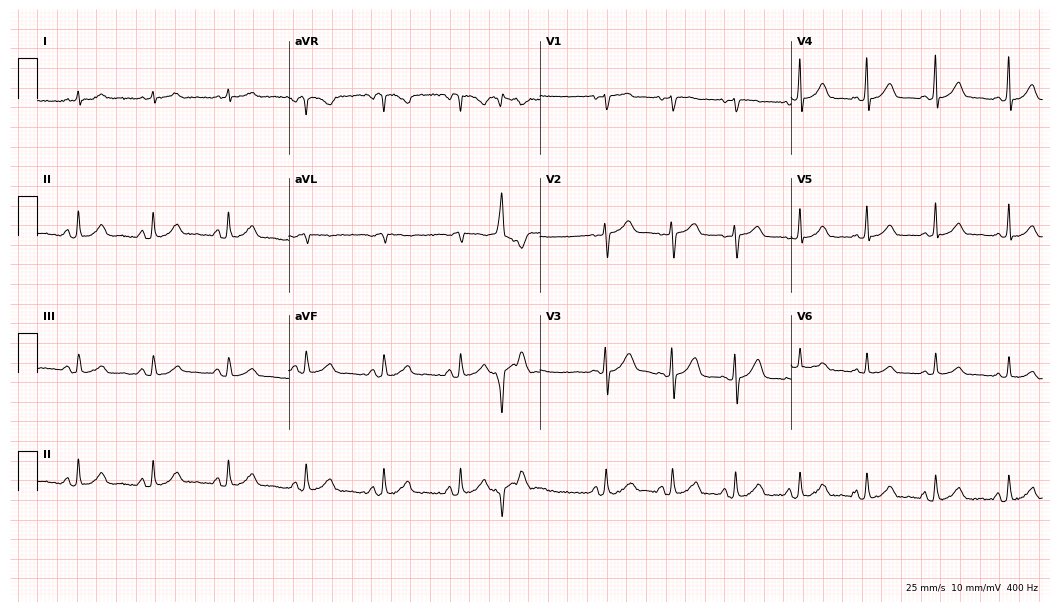
Electrocardiogram, a 49-year-old female patient. Overall reading on record: normal ECG.